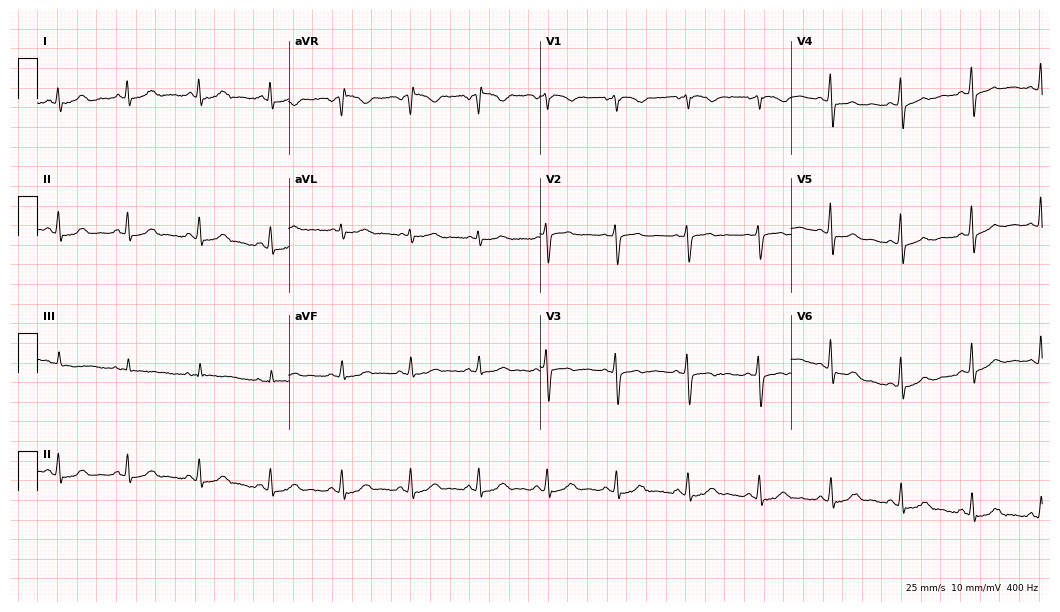
ECG (10.2-second recording at 400 Hz) — a female, 46 years old. Labelled as a normal ECG.